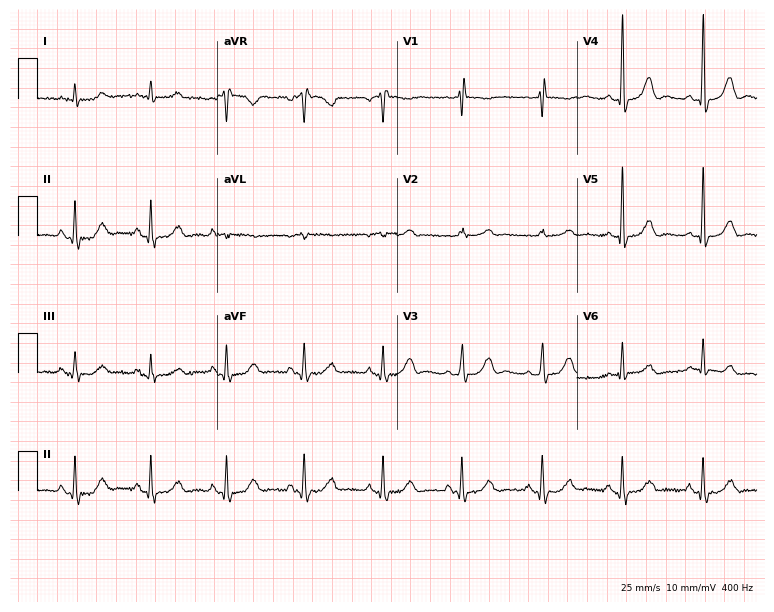
Standard 12-lead ECG recorded from an 80-year-old female patient (7.3-second recording at 400 Hz). None of these six findings is recorded: first-degree AV block, right bundle branch block, left bundle branch block, sinus bradycardia, atrial fibrillation, sinus tachycardia. Findings outside these six are not listed.